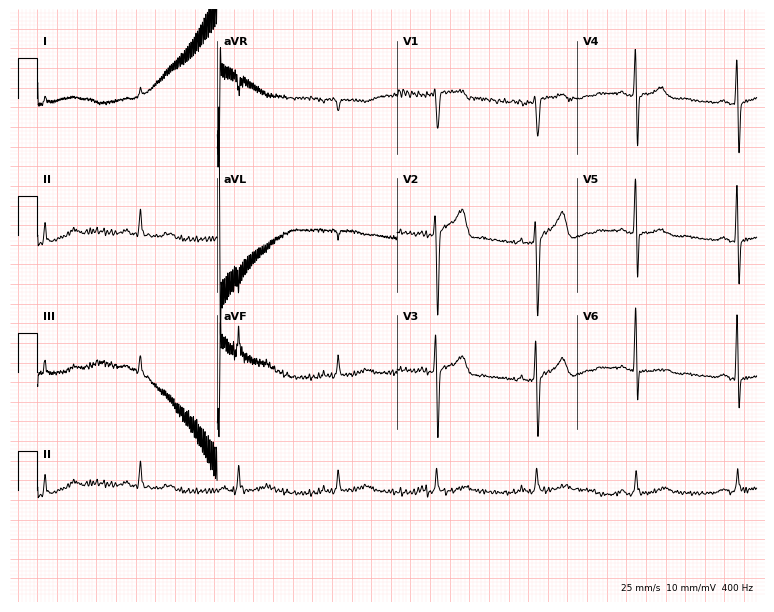
Standard 12-lead ECG recorded from a 71-year-old man. None of these six findings is recorded: first-degree AV block, right bundle branch block (RBBB), left bundle branch block (LBBB), sinus bradycardia, atrial fibrillation (AF), sinus tachycardia.